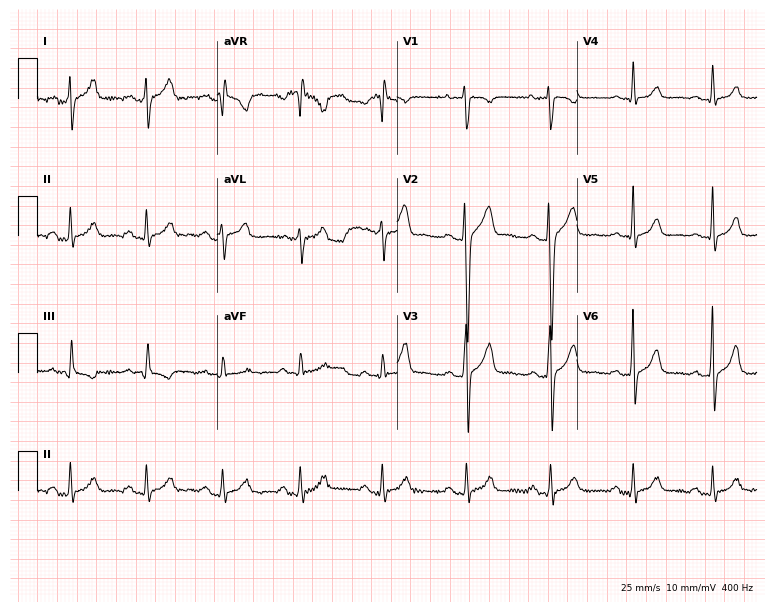
12-lead ECG from a 28-year-old man. No first-degree AV block, right bundle branch block (RBBB), left bundle branch block (LBBB), sinus bradycardia, atrial fibrillation (AF) or sinus tachycardia recorded for this tracing.